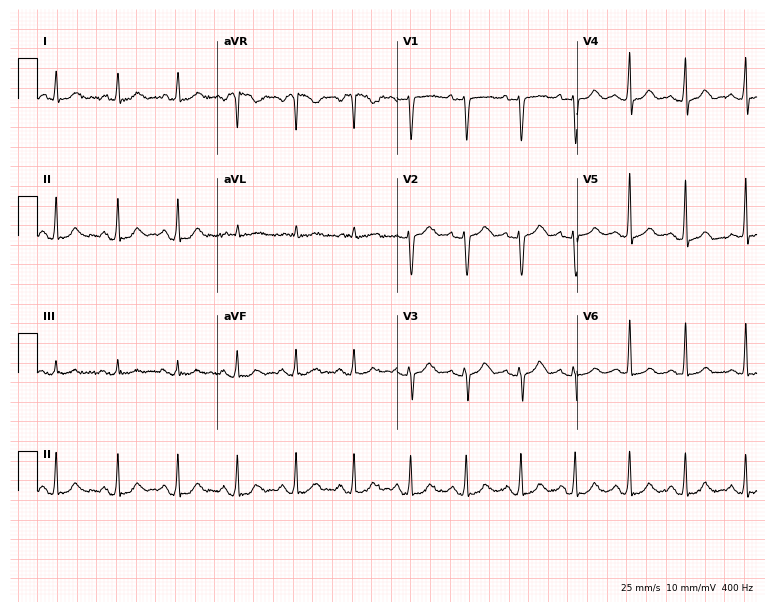
12-lead ECG from a 40-year-old female patient (7.3-second recording at 400 Hz). No first-degree AV block, right bundle branch block, left bundle branch block, sinus bradycardia, atrial fibrillation or sinus tachycardia recorded for this tracing. Other findings, if any, are not listed.